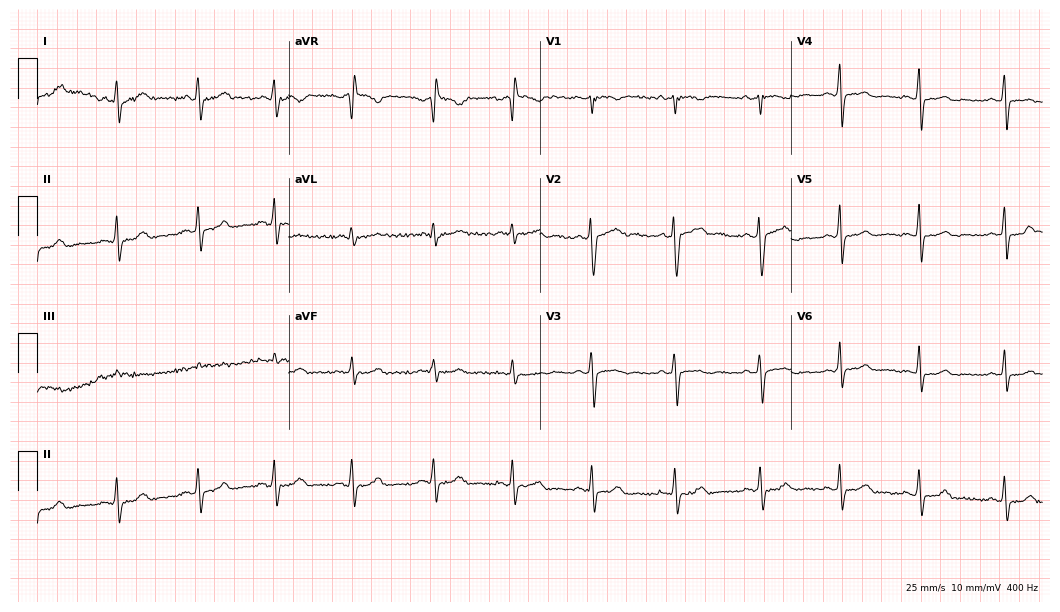
12-lead ECG from a female, 27 years old (10.2-second recording at 400 Hz). Recorded interpretation: within normal limits.